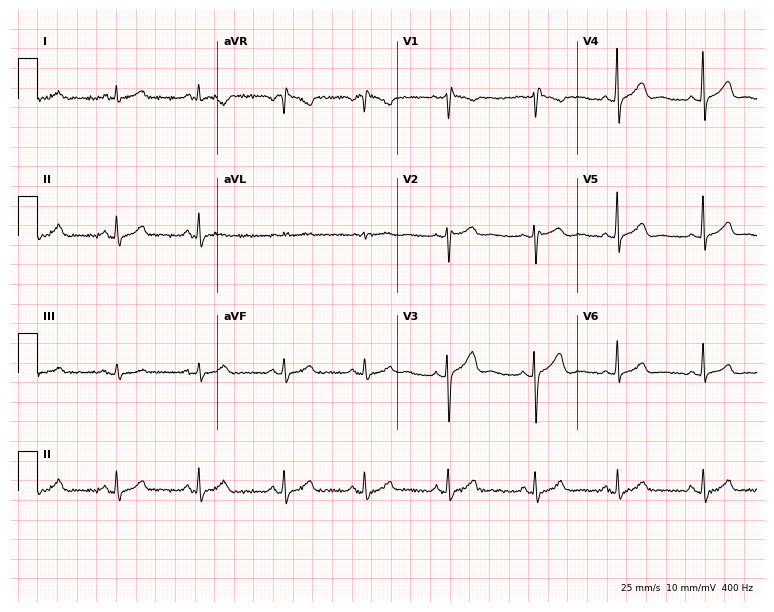
Standard 12-lead ECG recorded from a male patient, 56 years old (7.3-second recording at 400 Hz). None of these six findings is recorded: first-degree AV block, right bundle branch block (RBBB), left bundle branch block (LBBB), sinus bradycardia, atrial fibrillation (AF), sinus tachycardia.